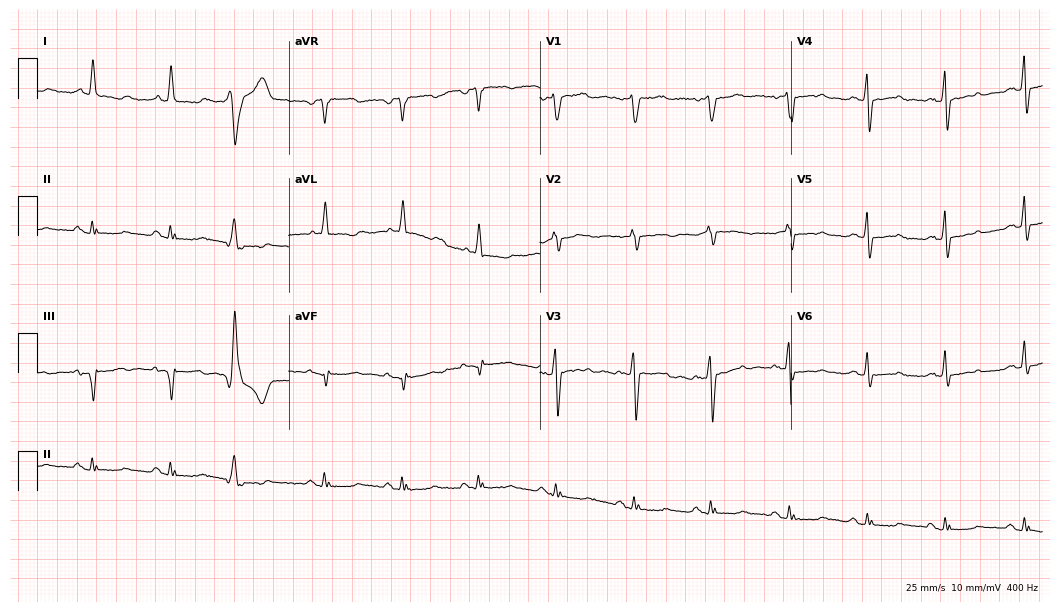
Resting 12-lead electrocardiogram. Patient: a woman, 63 years old. None of these six findings is recorded: first-degree AV block, right bundle branch block, left bundle branch block, sinus bradycardia, atrial fibrillation, sinus tachycardia.